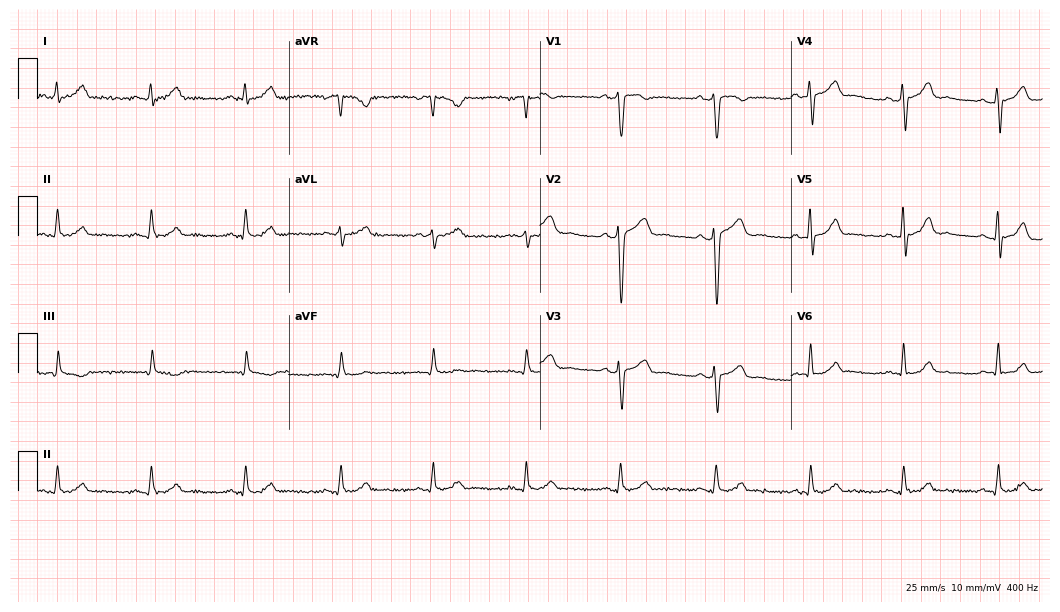
Standard 12-lead ECG recorded from a male, 53 years old (10.2-second recording at 400 Hz). Read as a normal ECG.